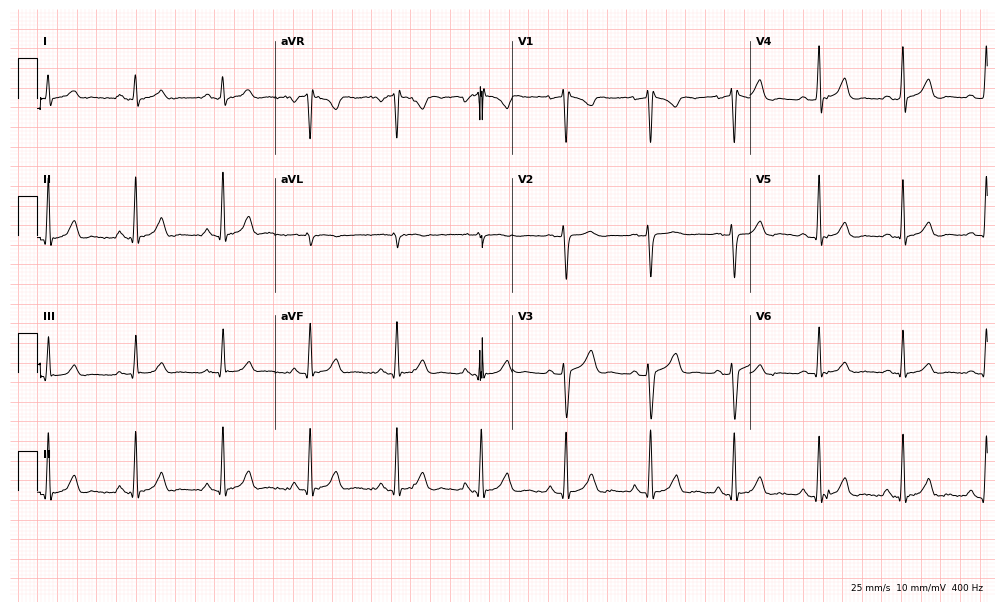
Standard 12-lead ECG recorded from a male, 55 years old (9.7-second recording at 400 Hz). None of these six findings is recorded: first-degree AV block, right bundle branch block (RBBB), left bundle branch block (LBBB), sinus bradycardia, atrial fibrillation (AF), sinus tachycardia.